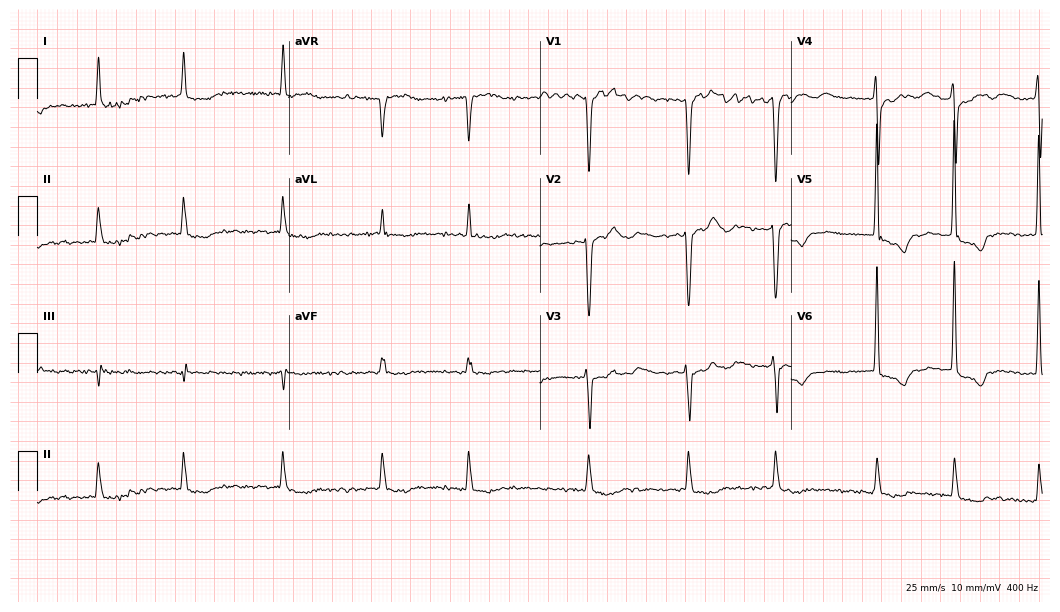
ECG — a male patient, 73 years old. Findings include atrial fibrillation.